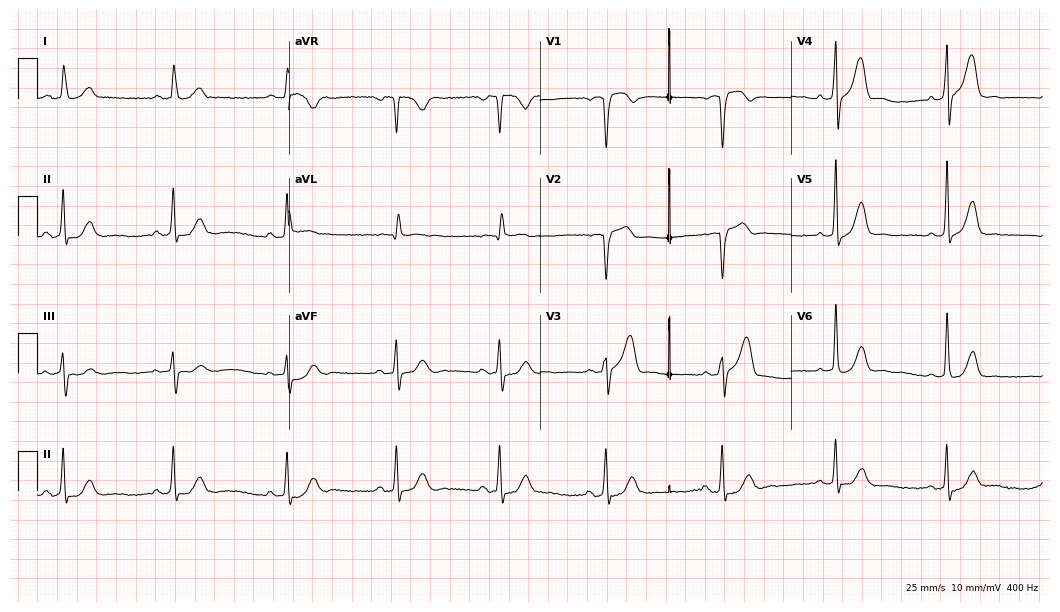
Standard 12-lead ECG recorded from a 58-year-old male. Read as a normal ECG.